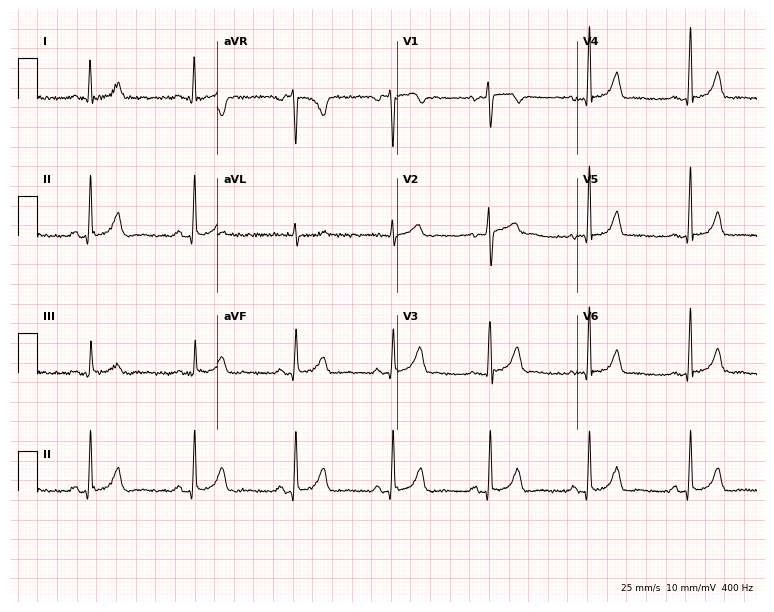
12-lead ECG from a woman, 34 years old. Recorded interpretation: within normal limits.